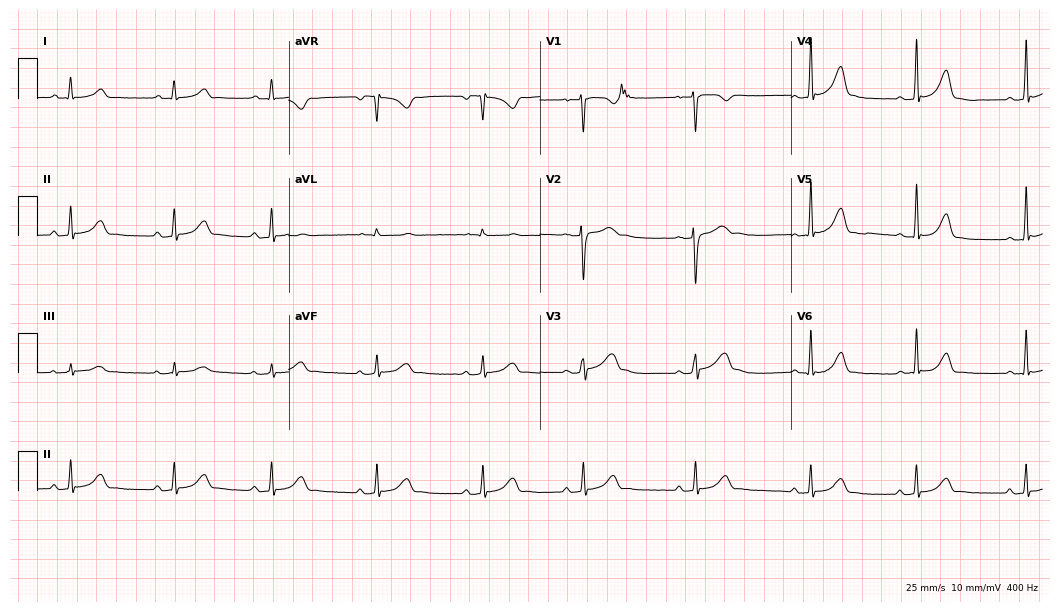
Electrocardiogram (10.2-second recording at 400 Hz), a woman, 23 years old. Overall reading on record: normal ECG.